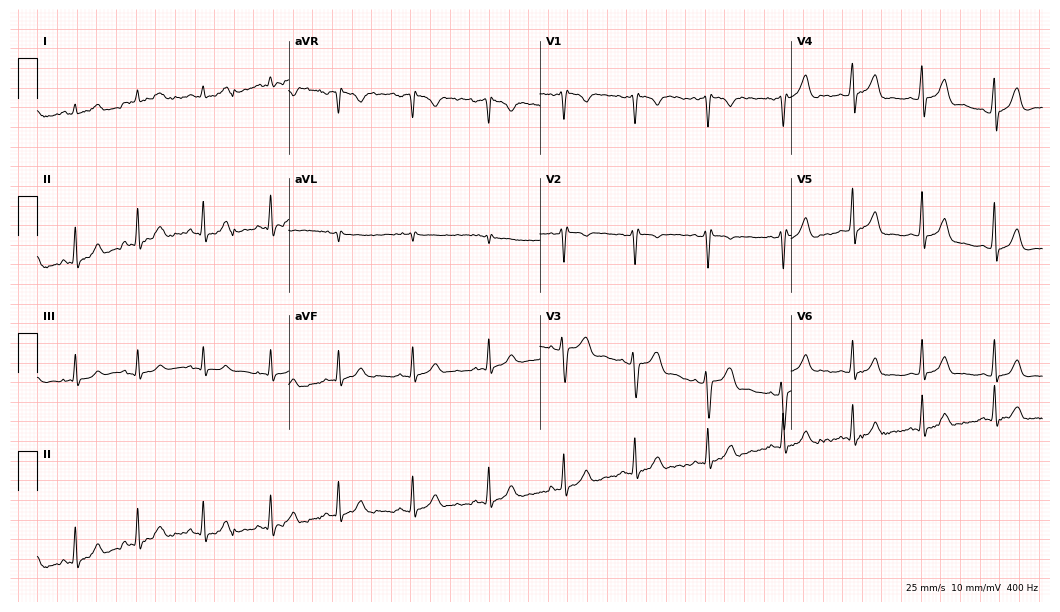
12-lead ECG from a female patient, 36 years old. Screened for six findings — first-degree AV block, right bundle branch block, left bundle branch block, sinus bradycardia, atrial fibrillation, sinus tachycardia — none is recorded. Other findings, if any, are not listed.